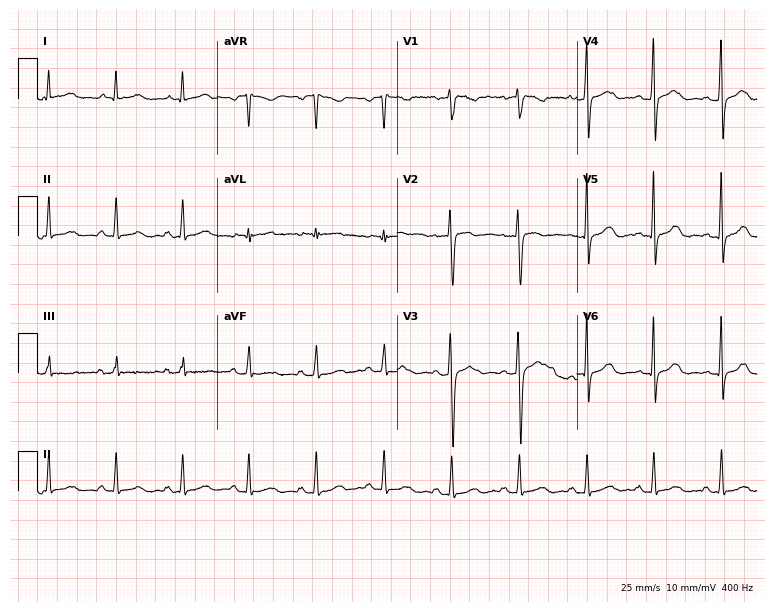
Standard 12-lead ECG recorded from a female patient, 42 years old. Read as a normal ECG.